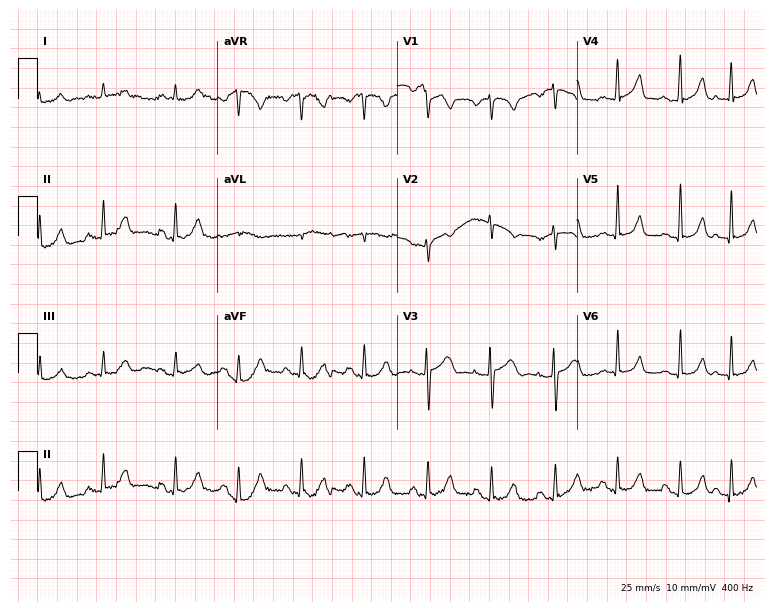
12-lead ECG from a 55-year-old male patient. Screened for six findings — first-degree AV block, right bundle branch block (RBBB), left bundle branch block (LBBB), sinus bradycardia, atrial fibrillation (AF), sinus tachycardia — none is recorded.